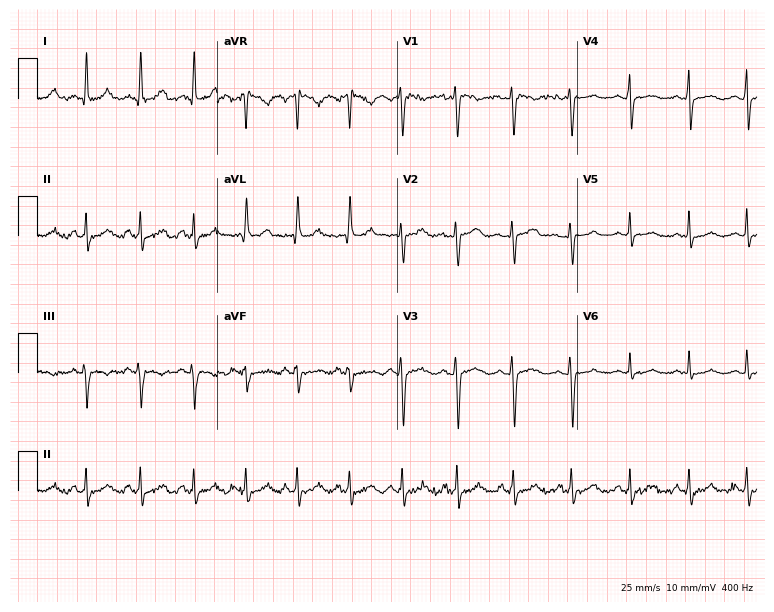
12-lead ECG (7.3-second recording at 400 Hz) from a woman, 24 years old. Findings include sinus tachycardia (a sinus rate of 100 beats per minute or more).